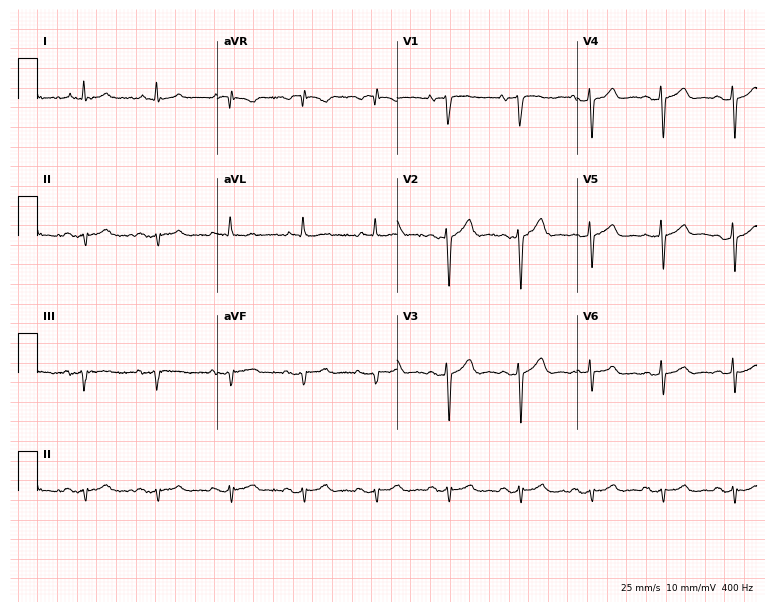
Electrocardiogram (7.3-second recording at 400 Hz), a man, 70 years old. Of the six screened findings (first-degree AV block, right bundle branch block, left bundle branch block, sinus bradycardia, atrial fibrillation, sinus tachycardia), none is recorded. Only these six findings were labelled.